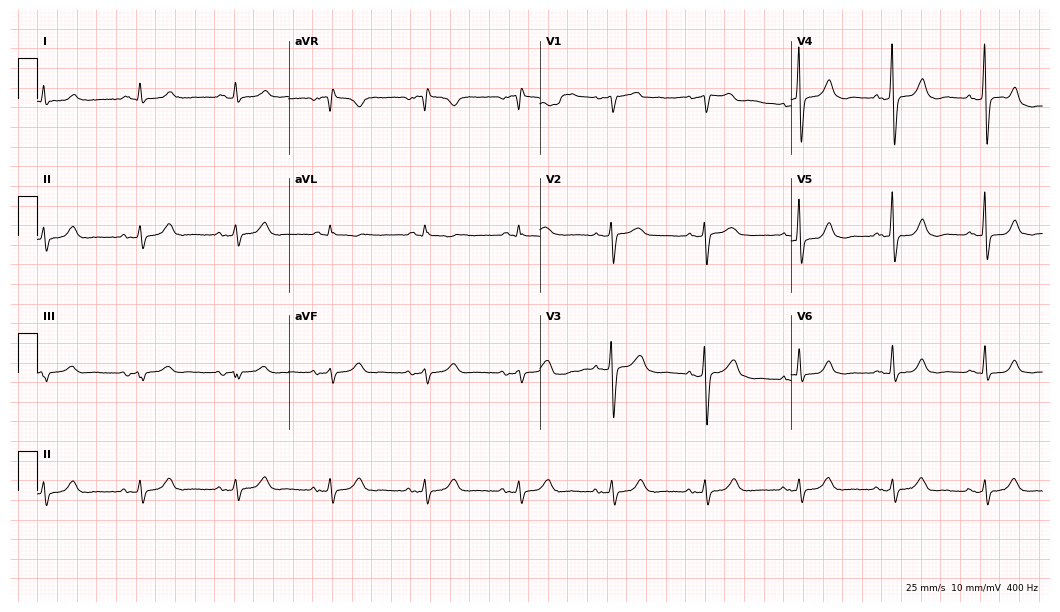
Resting 12-lead electrocardiogram. Patient: a 62-year-old man. None of these six findings is recorded: first-degree AV block, right bundle branch block, left bundle branch block, sinus bradycardia, atrial fibrillation, sinus tachycardia.